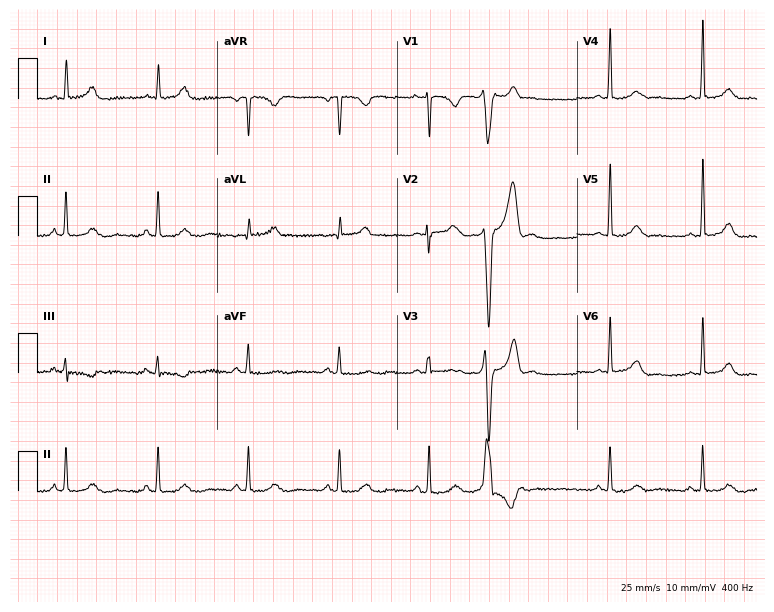
Standard 12-lead ECG recorded from a woman, 32 years old (7.3-second recording at 400 Hz). None of these six findings is recorded: first-degree AV block, right bundle branch block, left bundle branch block, sinus bradycardia, atrial fibrillation, sinus tachycardia.